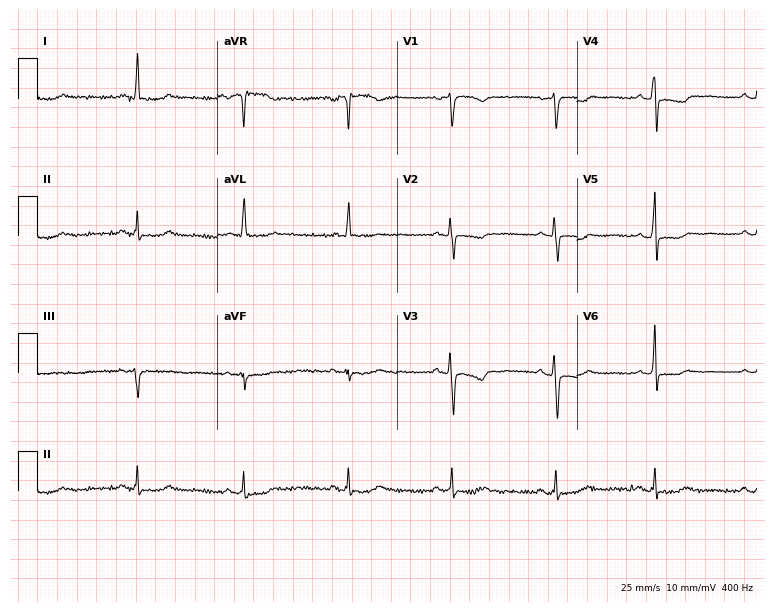
Resting 12-lead electrocardiogram (7.3-second recording at 400 Hz). Patient: a woman, 69 years old. Read as a normal ECG.